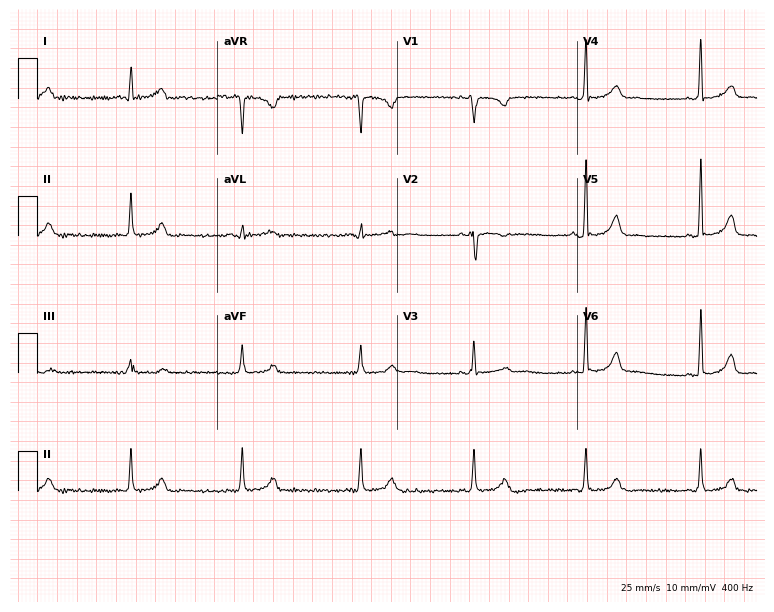
Standard 12-lead ECG recorded from a 38-year-old female patient. Read as a normal ECG.